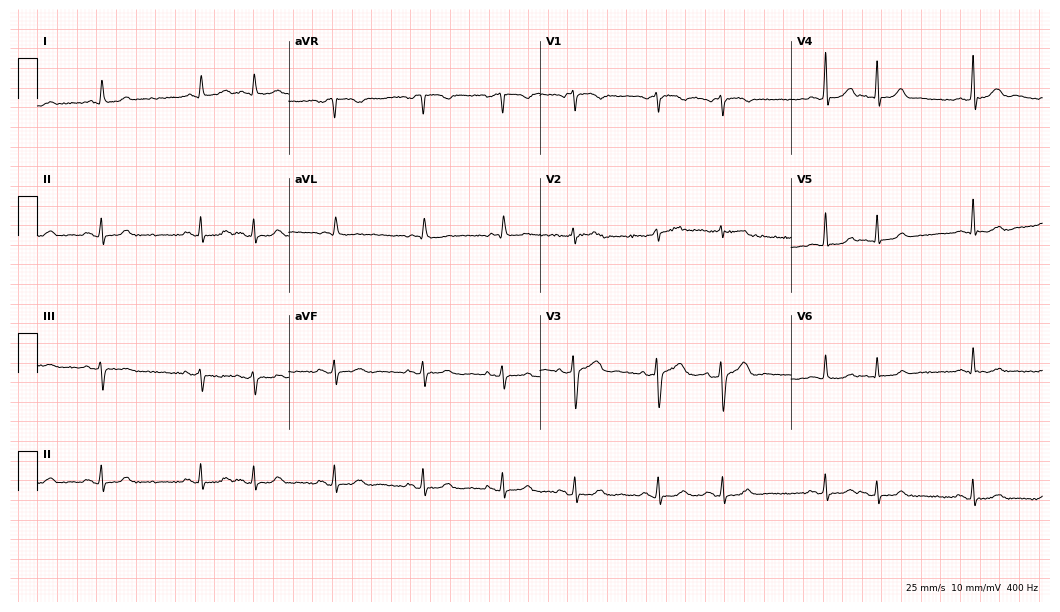
Standard 12-lead ECG recorded from a female, 77 years old. None of these six findings is recorded: first-degree AV block, right bundle branch block (RBBB), left bundle branch block (LBBB), sinus bradycardia, atrial fibrillation (AF), sinus tachycardia. Other findings, if any, are not listed.